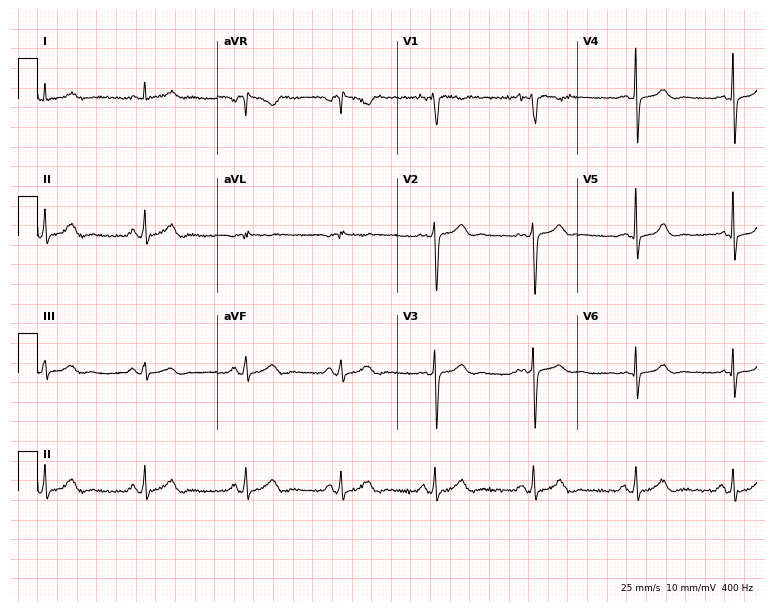
Electrocardiogram, a 37-year-old man. Of the six screened findings (first-degree AV block, right bundle branch block, left bundle branch block, sinus bradycardia, atrial fibrillation, sinus tachycardia), none is recorded.